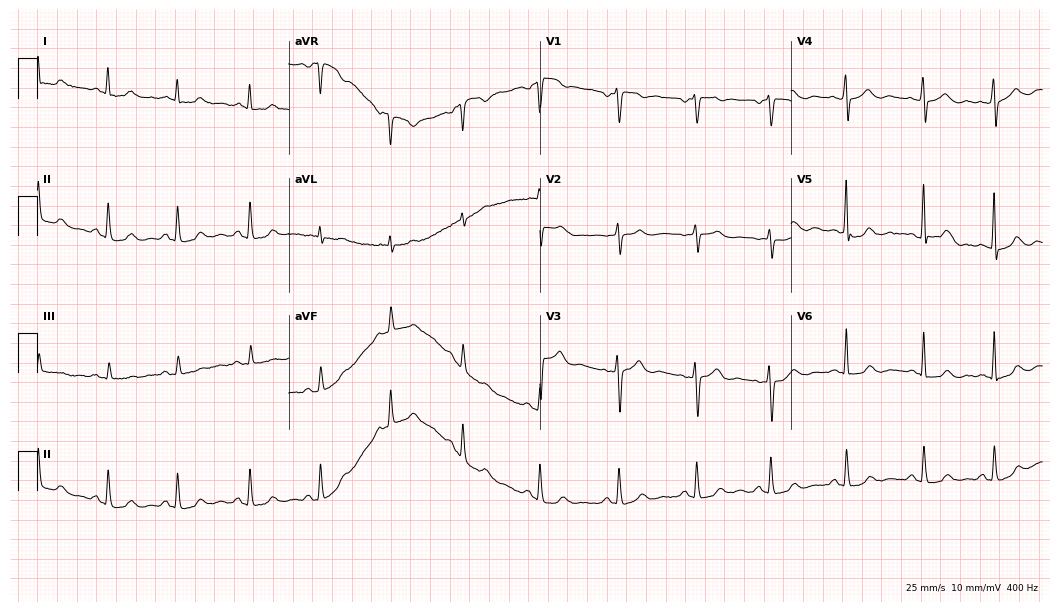
12-lead ECG (10.2-second recording at 400 Hz) from a woman, 53 years old. Labelled as a normal ECG.